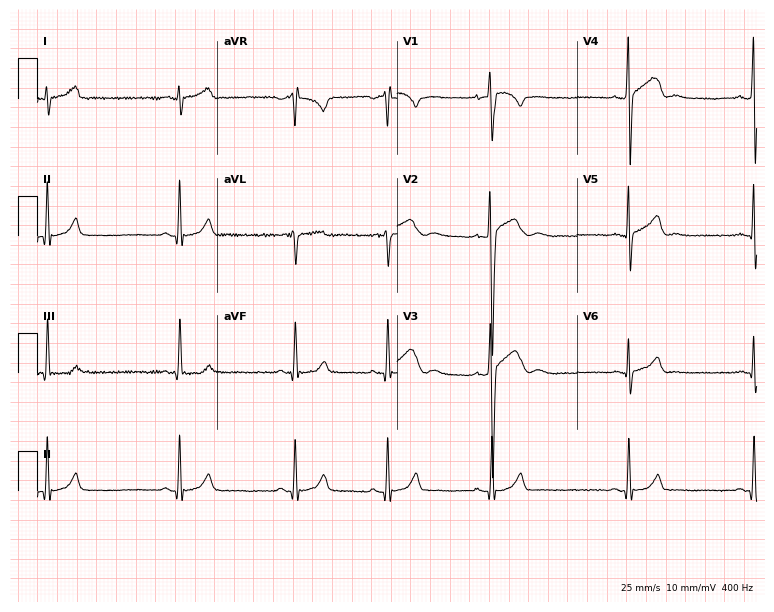
Resting 12-lead electrocardiogram (7.3-second recording at 400 Hz). Patient: a 17-year-old male. None of these six findings is recorded: first-degree AV block, right bundle branch block, left bundle branch block, sinus bradycardia, atrial fibrillation, sinus tachycardia.